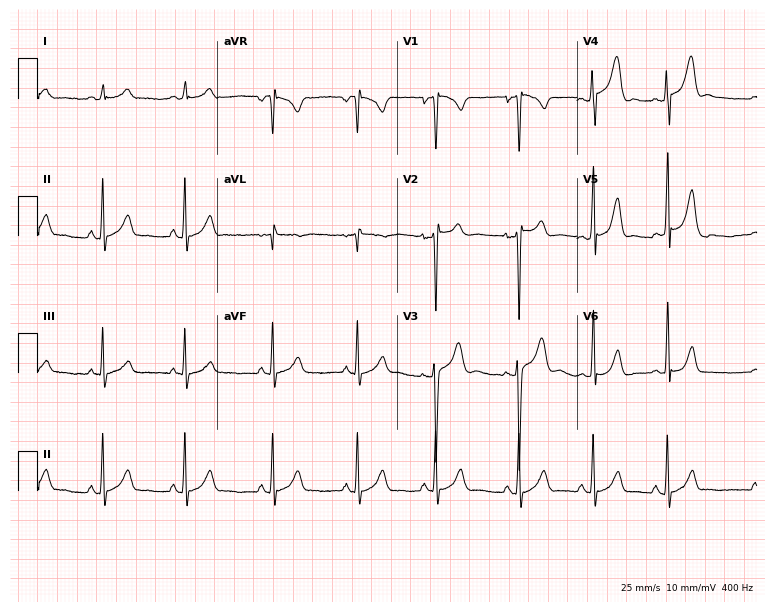
Resting 12-lead electrocardiogram. Patient: a male, 17 years old. Read as a normal ECG.